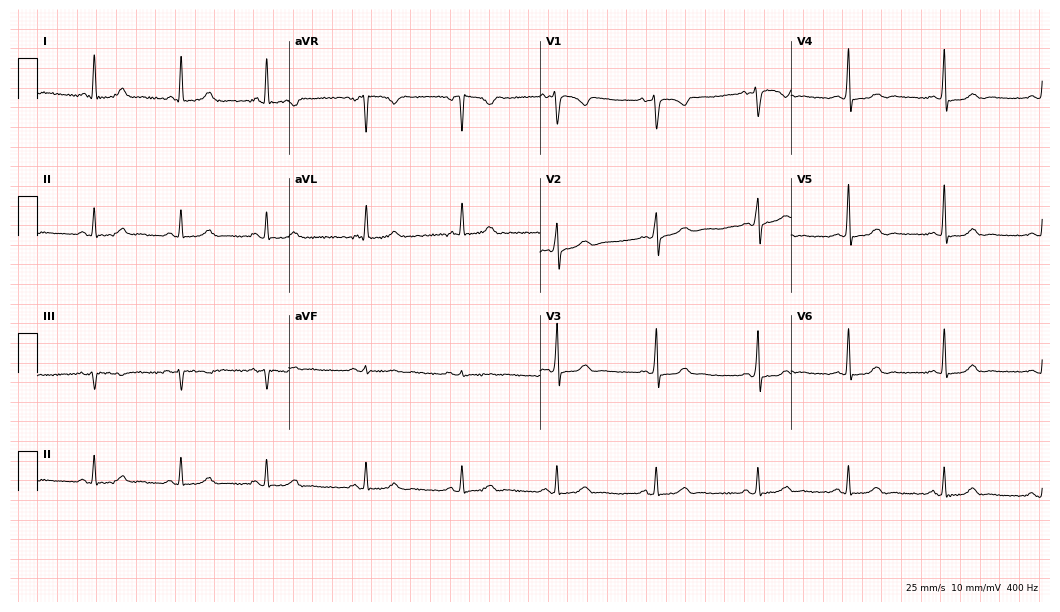
Resting 12-lead electrocardiogram (10.2-second recording at 400 Hz). Patient: a 49-year-old woman. Read as a normal ECG.